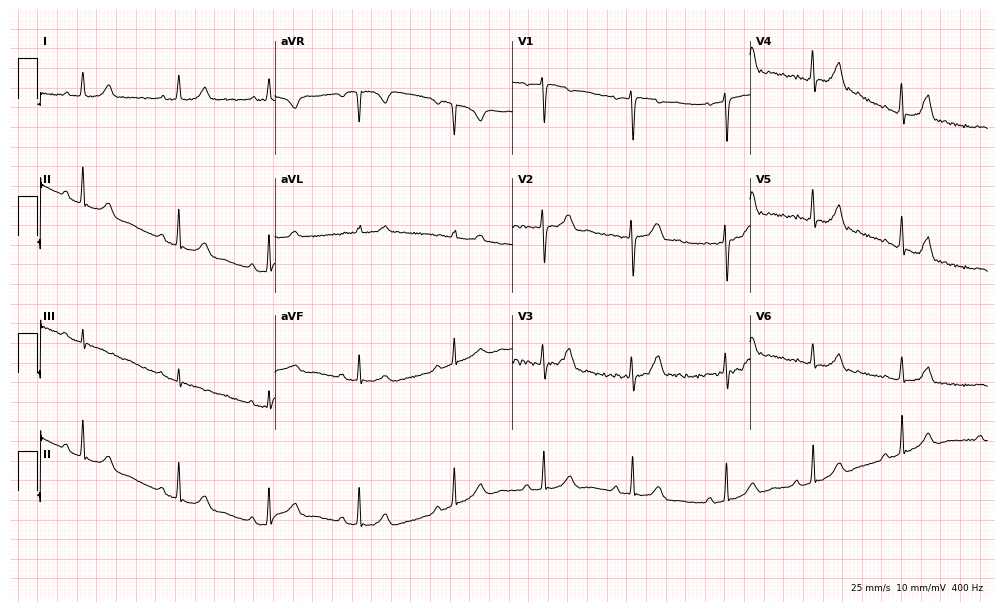
12-lead ECG (9.7-second recording at 400 Hz) from a female, 33 years old. Labelled as a normal ECG.